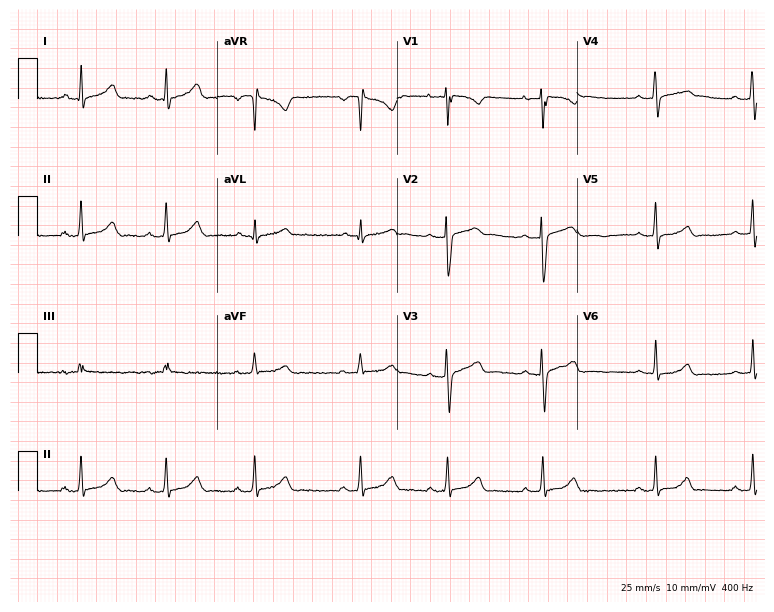
ECG — a female, 27 years old. Screened for six findings — first-degree AV block, right bundle branch block, left bundle branch block, sinus bradycardia, atrial fibrillation, sinus tachycardia — none is recorded.